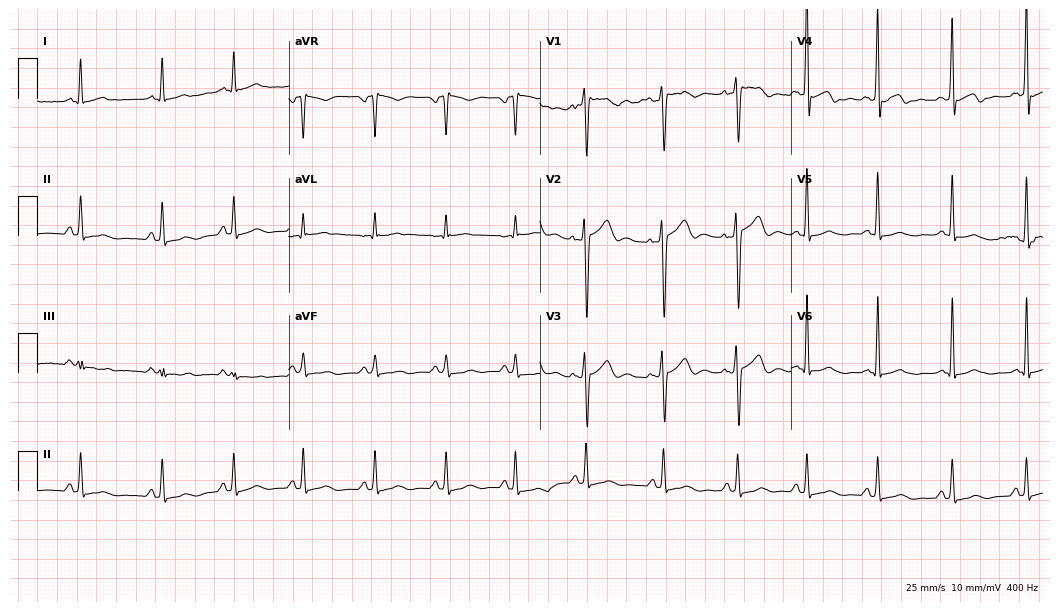
Electrocardiogram, a 36-year-old male. Overall reading on record: normal ECG.